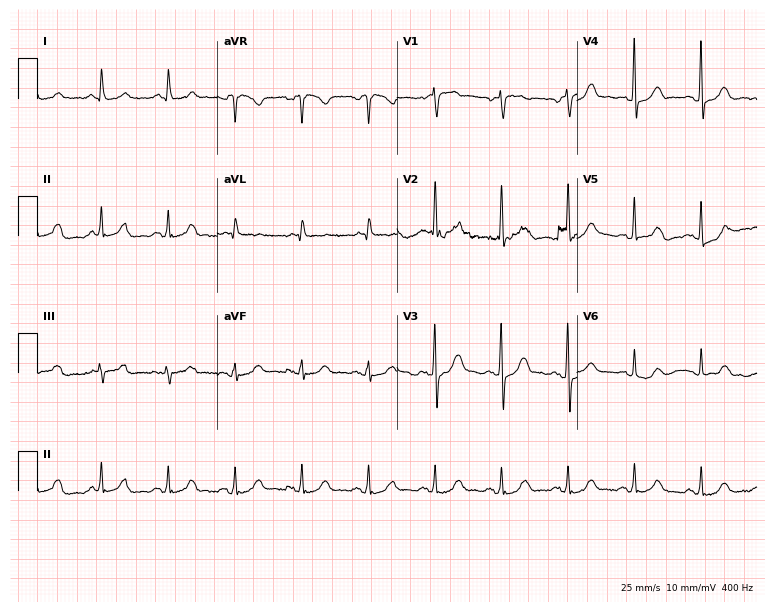
12-lead ECG from a male patient, 83 years old. Recorded interpretation: within normal limits.